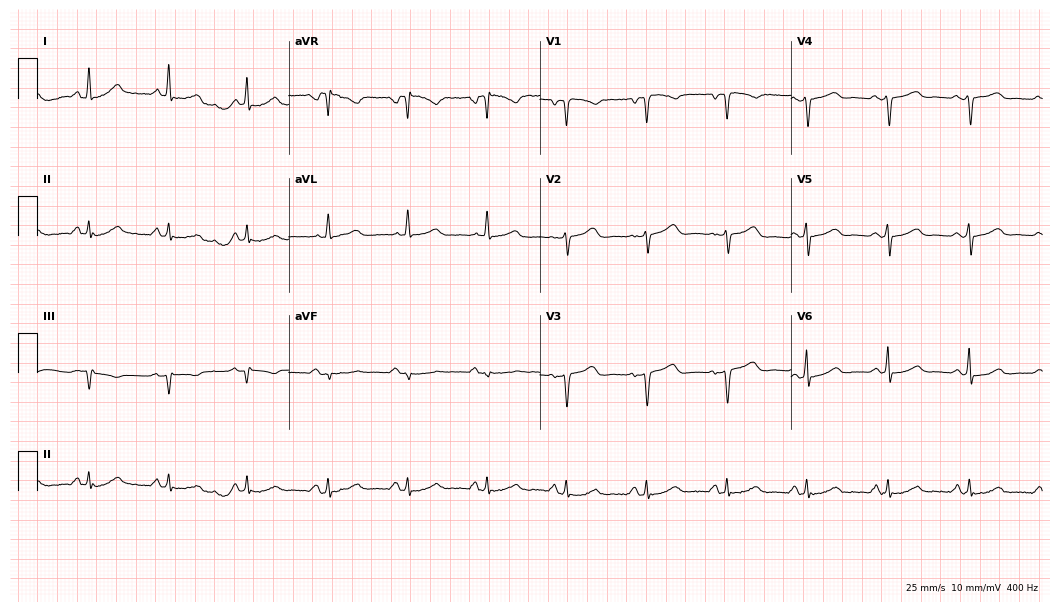
Electrocardiogram (10.2-second recording at 400 Hz), a female, 45 years old. Of the six screened findings (first-degree AV block, right bundle branch block, left bundle branch block, sinus bradycardia, atrial fibrillation, sinus tachycardia), none is recorded.